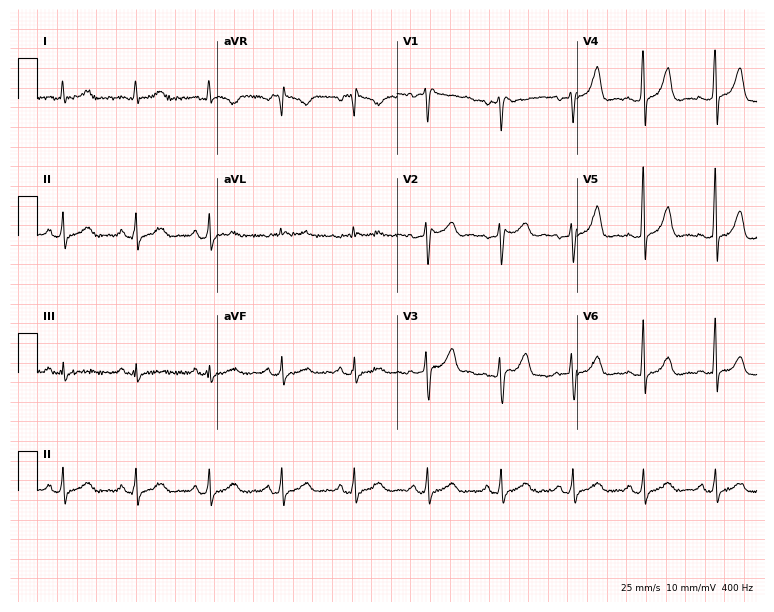
ECG (7.3-second recording at 400 Hz) — a 52-year-old woman. Labelled as a normal ECG.